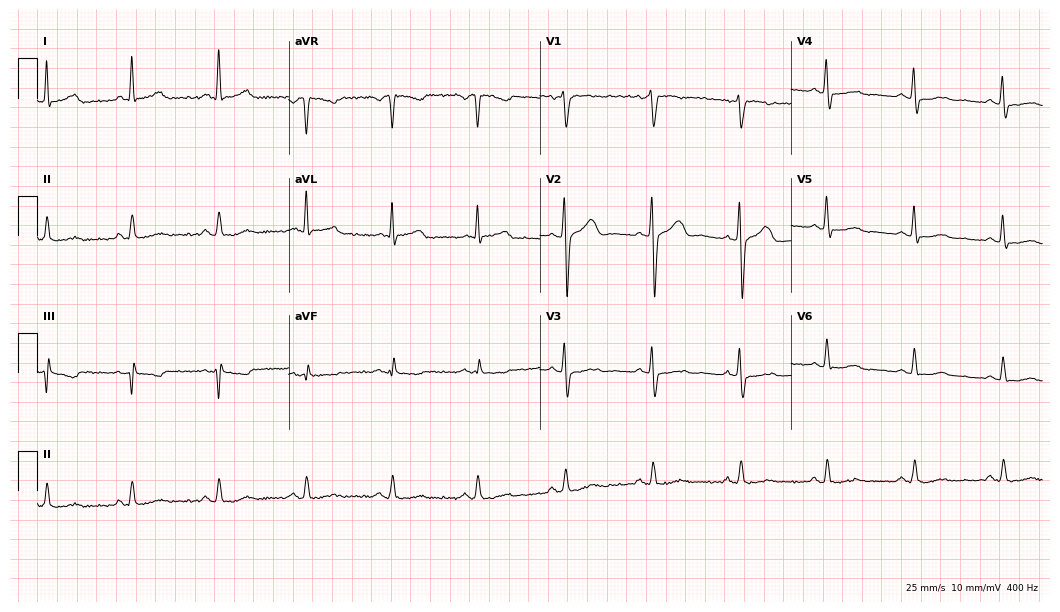
Electrocardiogram, a male, 44 years old. Of the six screened findings (first-degree AV block, right bundle branch block (RBBB), left bundle branch block (LBBB), sinus bradycardia, atrial fibrillation (AF), sinus tachycardia), none is recorded. Findings outside these six are not listed.